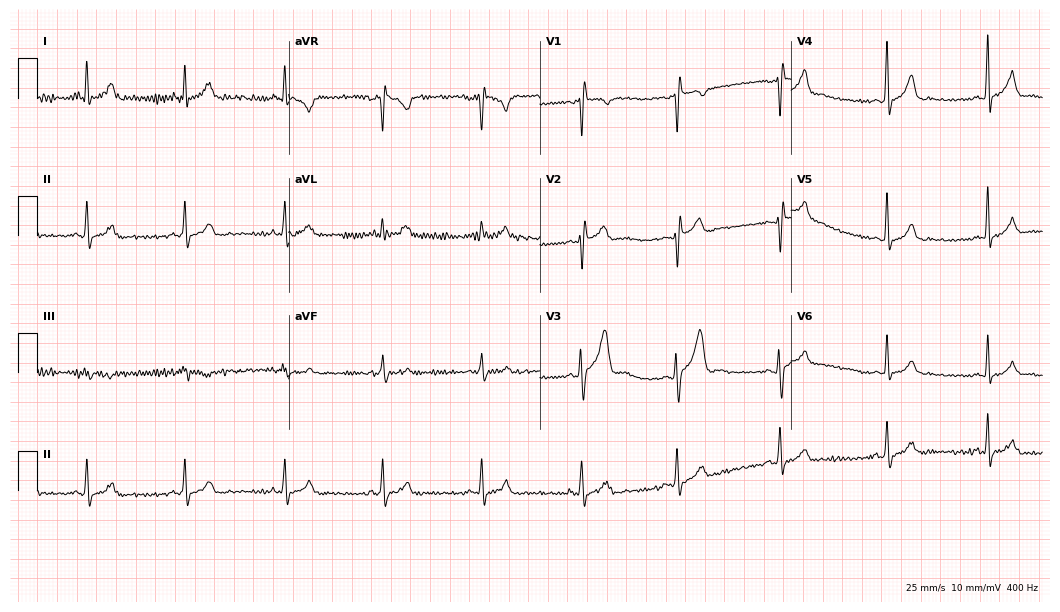
Standard 12-lead ECG recorded from a 22-year-old man (10.2-second recording at 400 Hz). None of these six findings is recorded: first-degree AV block, right bundle branch block, left bundle branch block, sinus bradycardia, atrial fibrillation, sinus tachycardia.